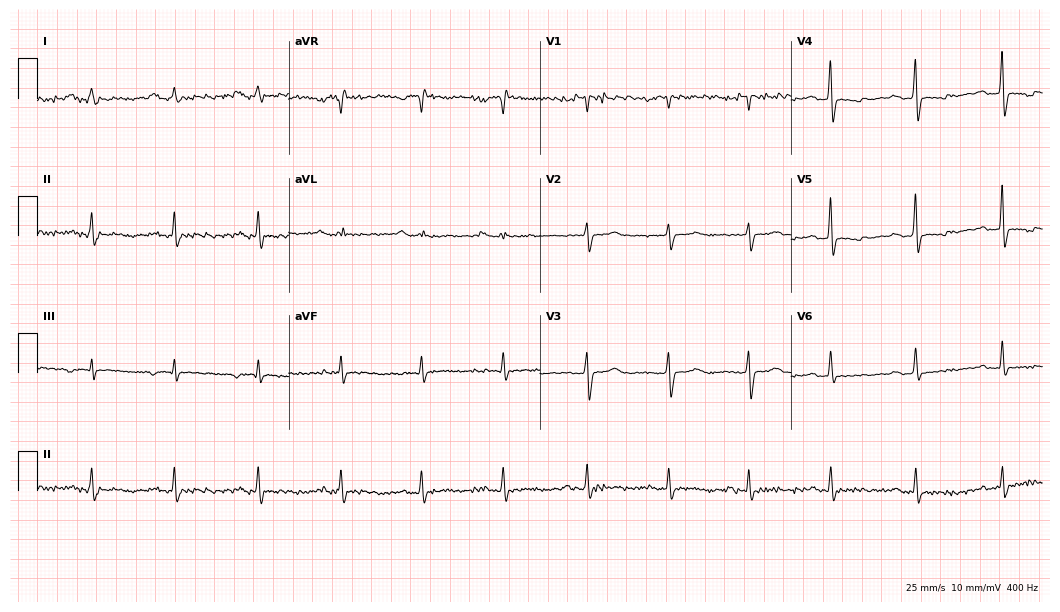
12-lead ECG from a male, 59 years old. Findings include first-degree AV block.